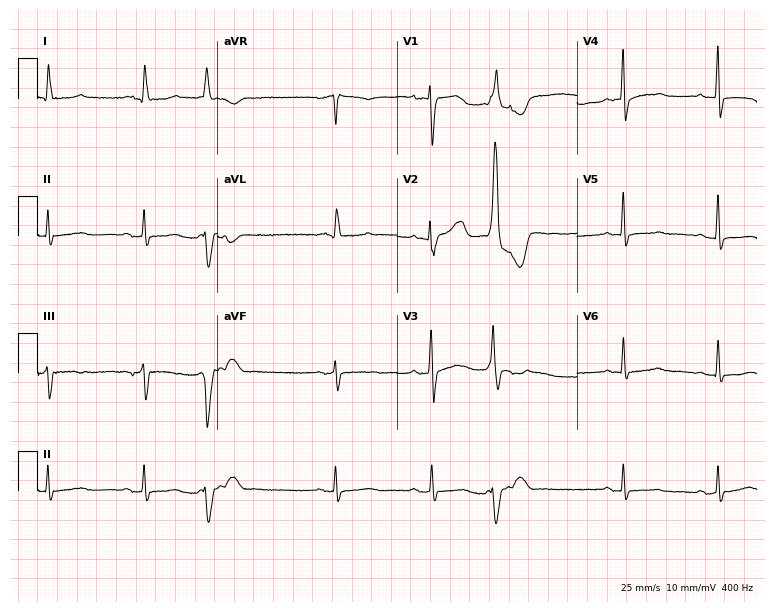
ECG — a 62-year-old woman. Screened for six findings — first-degree AV block, right bundle branch block, left bundle branch block, sinus bradycardia, atrial fibrillation, sinus tachycardia — none is recorded. Only these six findings were labelled.